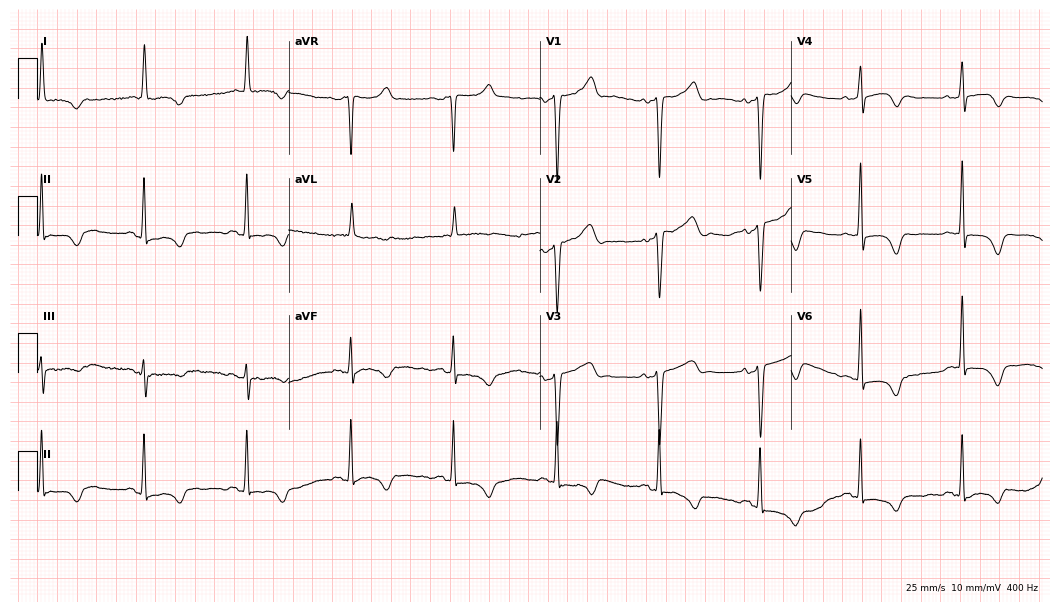
Resting 12-lead electrocardiogram. Patient: a female, 82 years old. None of these six findings is recorded: first-degree AV block, right bundle branch block, left bundle branch block, sinus bradycardia, atrial fibrillation, sinus tachycardia.